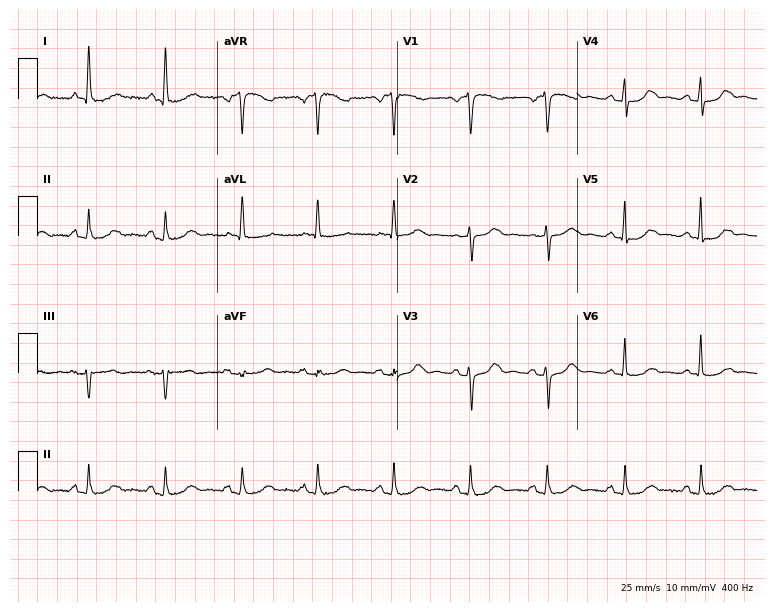
Standard 12-lead ECG recorded from a woman, 66 years old (7.3-second recording at 400 Hz). None of these six findings is recorded: first-degree AV block, right bundle branch block, left bundle branch block, sinus bradycardia, atrial fibrillation, sinus tachycardia. Only these six findings were labelled.